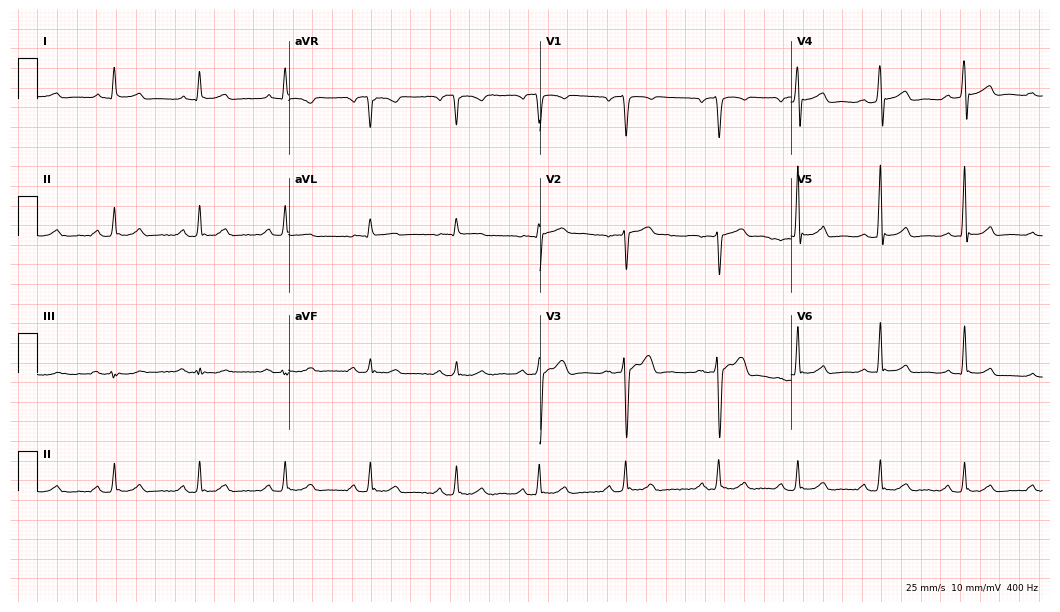
Standard 12-lead ECG recorded from a male patient, 70 years old (10.2-second recording at 400 Hz). Read as a normal ECG.